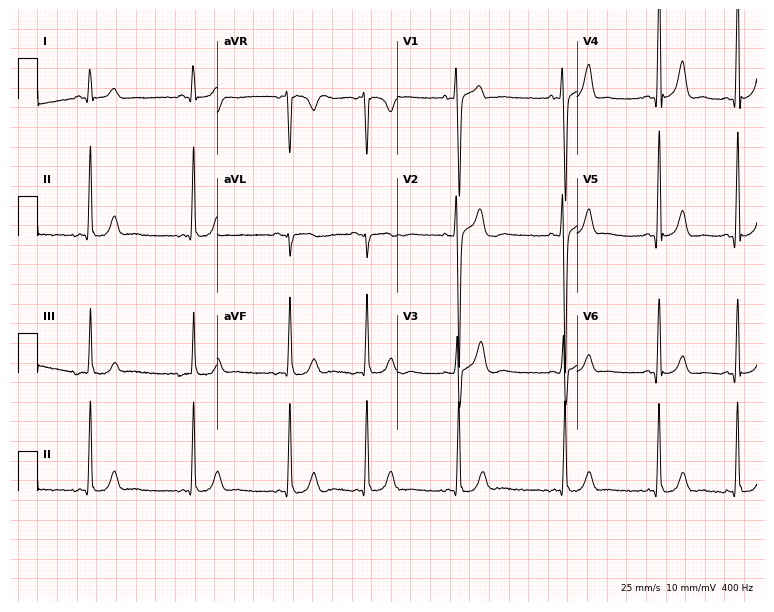
12-lead ECG from a 25-year-old man. No first-degree AV block, right bundle branch block, left bundle branch block, sinus bradycardia, atrial fibrillation or sinus tachycardia recorded for this tracing. Only these six findings were labelled.